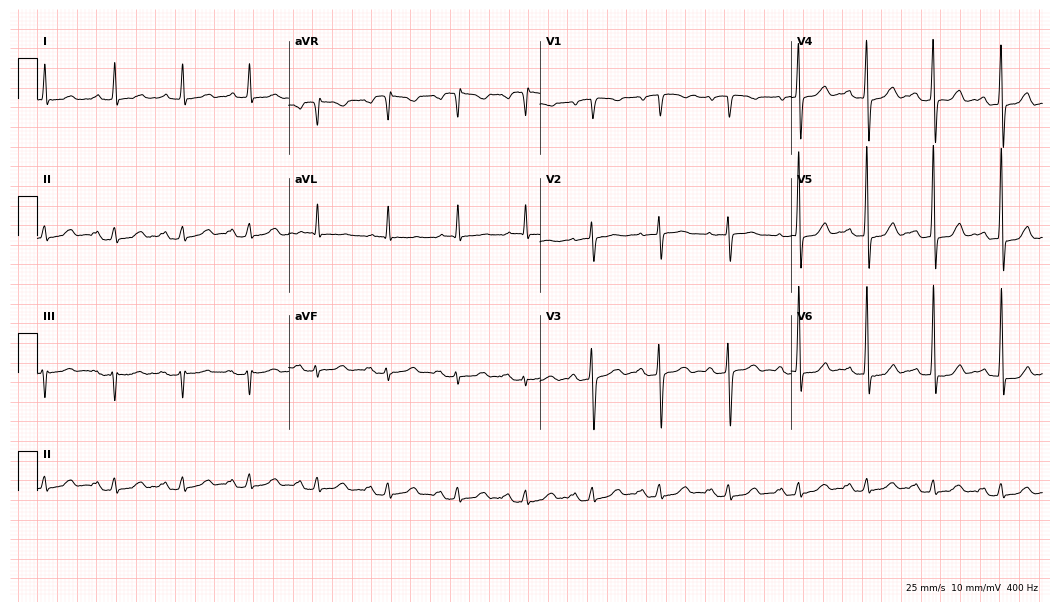
12-lead ECG from a male, 67 years old (10.2-second recording at 400 Hz). No first-degree AV block, right bundle branch block, left bundle branch block, sinus bradycardia, atrial fibrillation or sinus tachycardia recorded for this tracing.